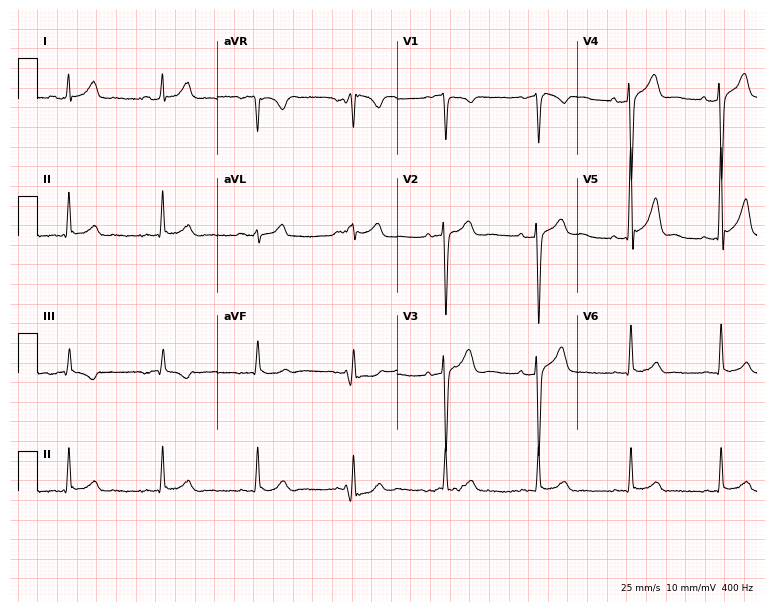
12-lead ECG from a man, 22 years old. Screened for six findings — first-degree AV block, right bundle branch block (RBBB), left bundle branch block (LBBB), sinus bradycardia, atrial fibrillation (AF), sinus tachycardia — none is recorded.